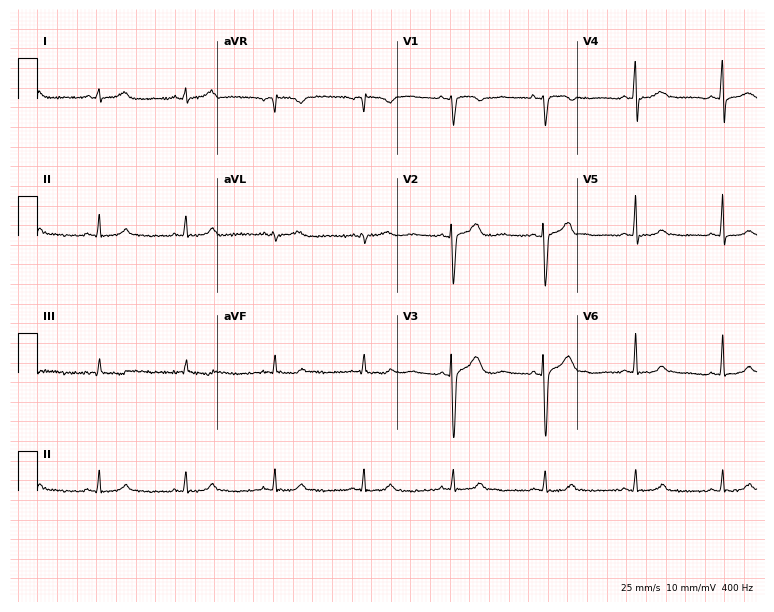
Electrocardiogram, a female patient, 42 years old. Overall reading on record: normal ECG.